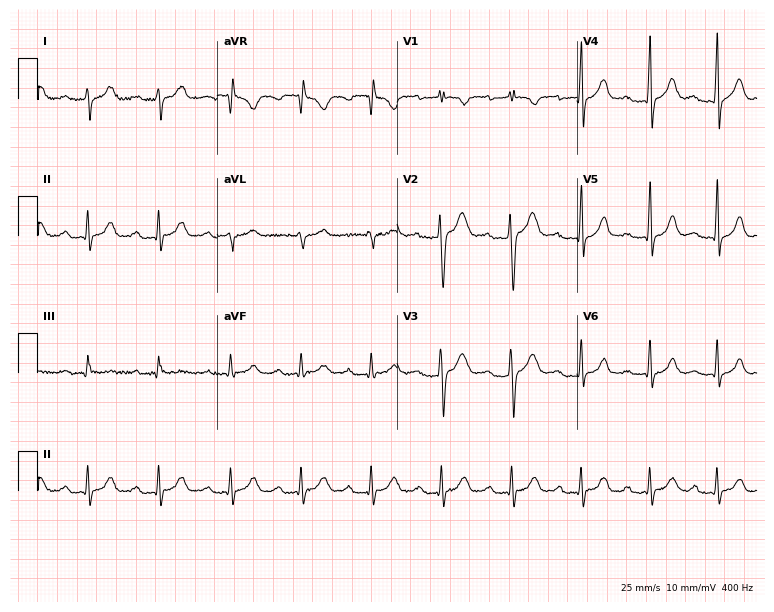
12-lead ECG (7.3-second recording at 400 Hz) from a 23-year-old male. Findings include first-degree AV block.